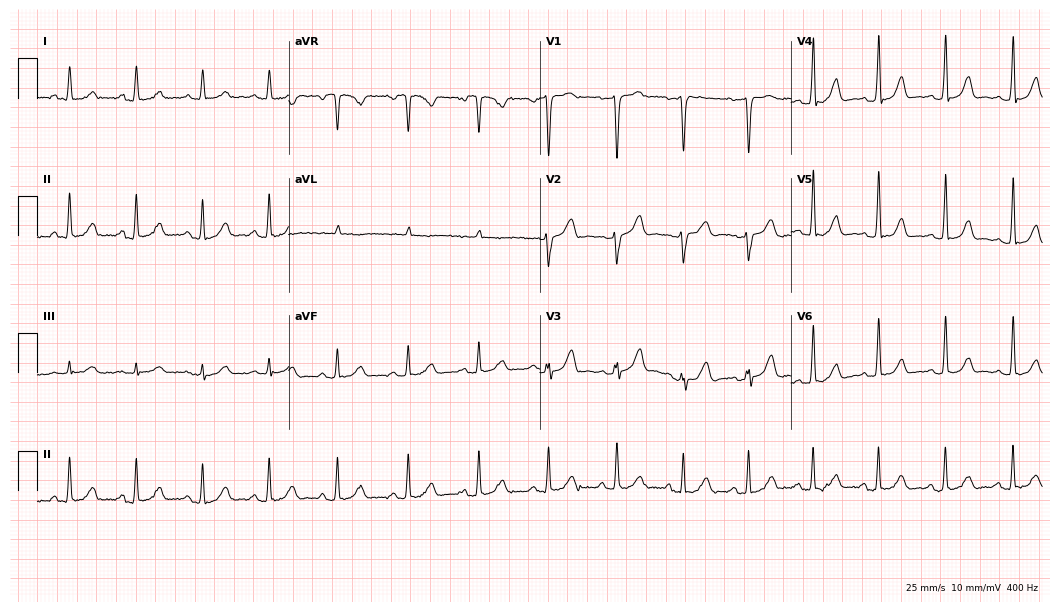
12-lead ECG from a 31-year-old woman (10.2-second recording at 400 Hz). Recorded interpretation: within normal limits.